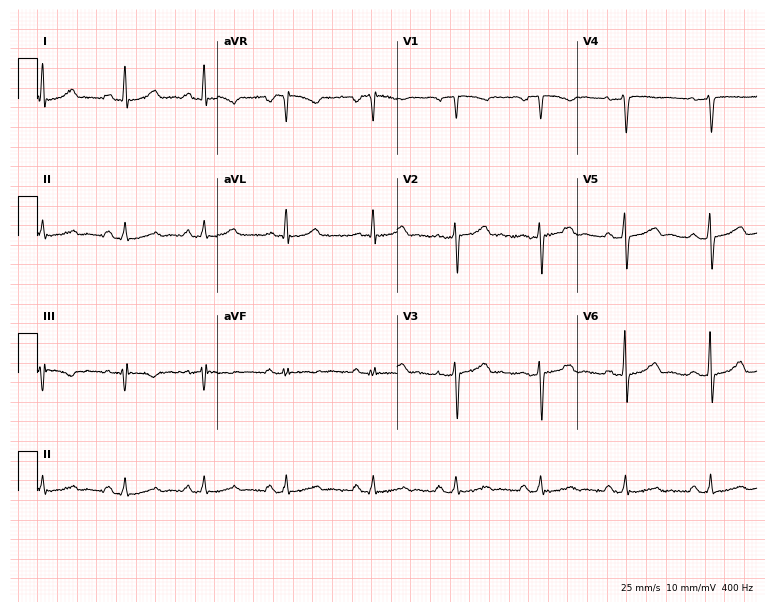
Resting 12-lead electrocardiogram (7.3-second recording at 400 Hz). Patient: a female, 45 years old. None of these six findings is recorded: first-degree AV block, right bundle branch block, left bundle branch block, sinus bradycardia, atrial fibrillation, sinus tachycardia.